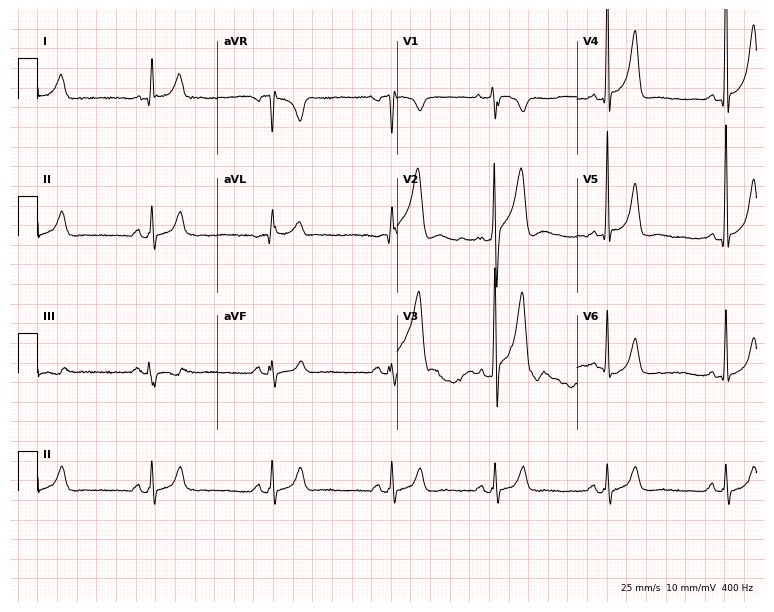
Electrocardiogram (7.3-second recording at 400 Hz), a male, 35 years old. Of the six screened findings (first-degree AV block, right bundle branch block (RBBB), left bundle branch block (LBBB), sinus bradycardia, atrial fibrillation (AF), sinus tachycardia), none is recorded.